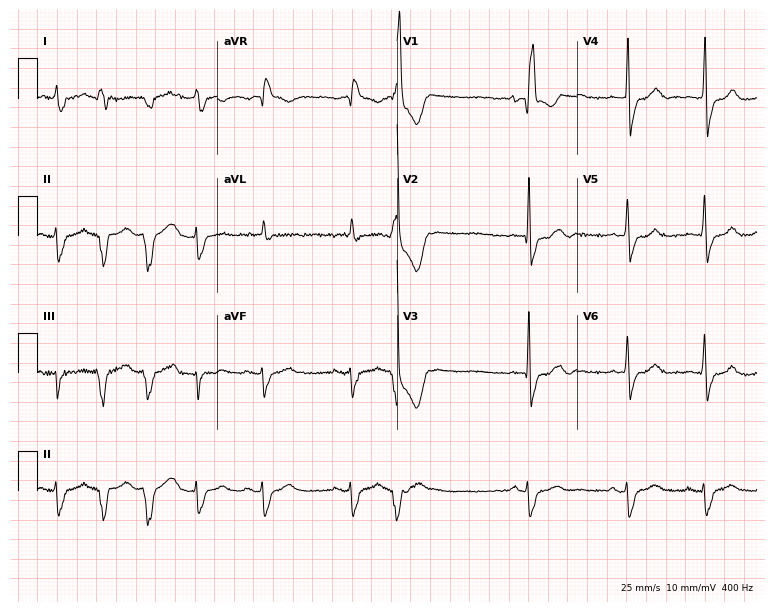
12-lead ECG from a man, 74 years old. Shows right bundle branch block (RBBB).